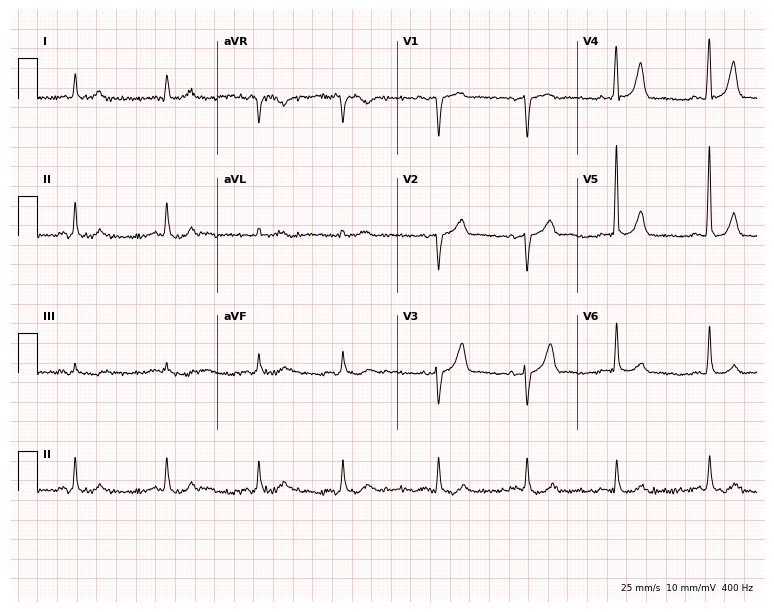
Standard 12-lead ECG recorded from an 81-year-old male. None of these six findings is recorded: first-degree AV block, right bundle branch block, left bundle branch block, sinus bradycardia, atrial fibrillation, sinus tachycardia.